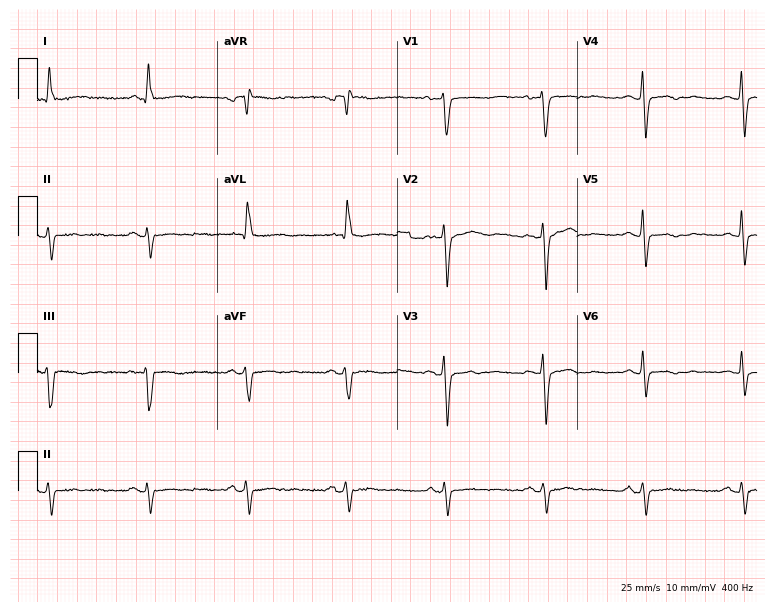
ECG (7.3-second recording at 400 Hz) — a male, 67 years old. Screened for six findings — first-degree AV block, right bundle branch block (RBBB), left bundle branch block (LBBB), sinus bradycardia, atrial fibrillation (AF), sinus tachycardia — none is recorded. Only these six findings were labelled.